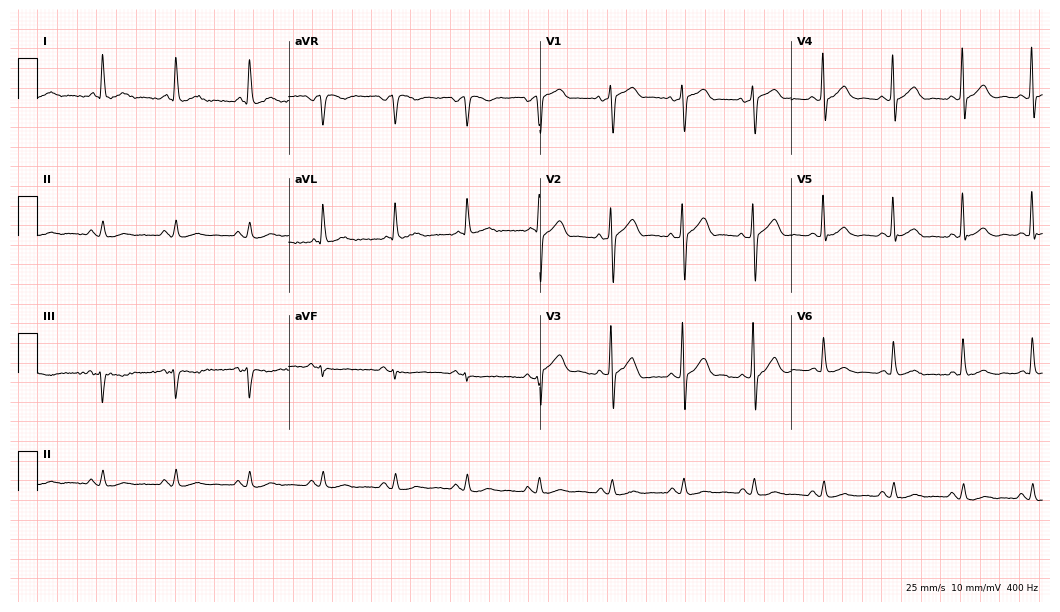
Standard 12-lead ECG recorded from a man, 74 years old. Read as a normal ECG.